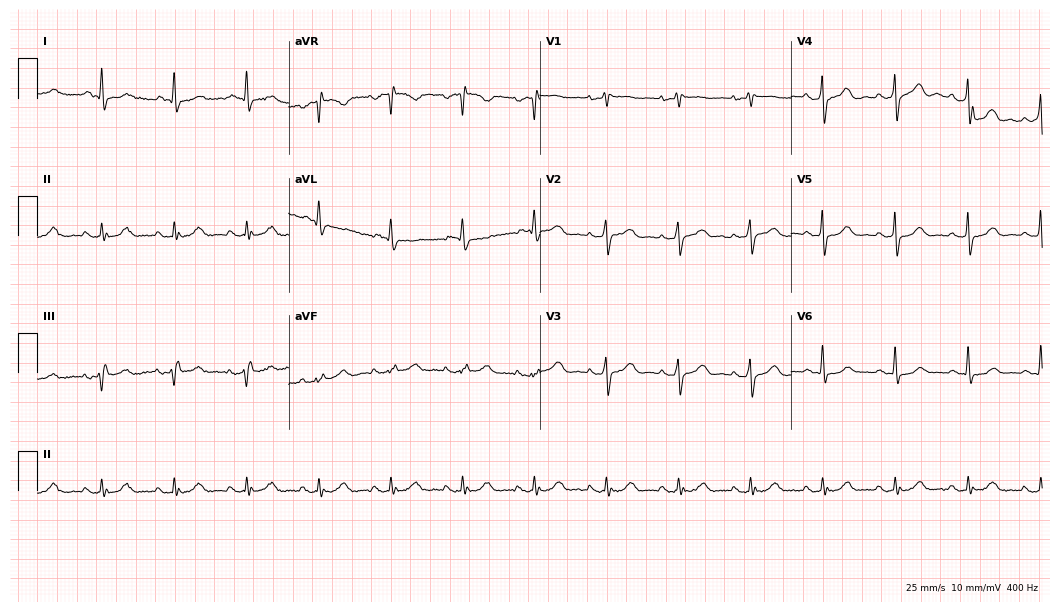
Resting 12-lead electrocardiogram. Patient: a female, 61 years old. None of these six findings is recorded: first-degree AV block, right bundle branch block, left bundle branch block, sinus bradycardia, atrial fibrillation, sinus tachycardia.